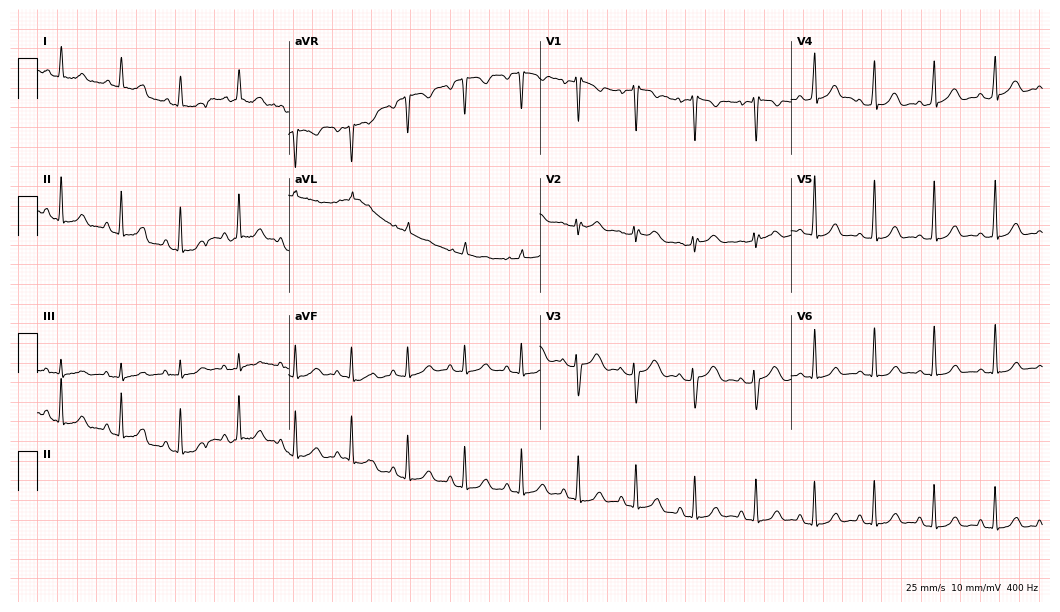
12-lead ECG from a female, 17 years old. No first-degree AV block, right bundle branch block, left bundle branch block, sinus bradycardia, atrial fibrillation or sinus tachycardia recorded for this tracing. Other findings, if any, are not listed.